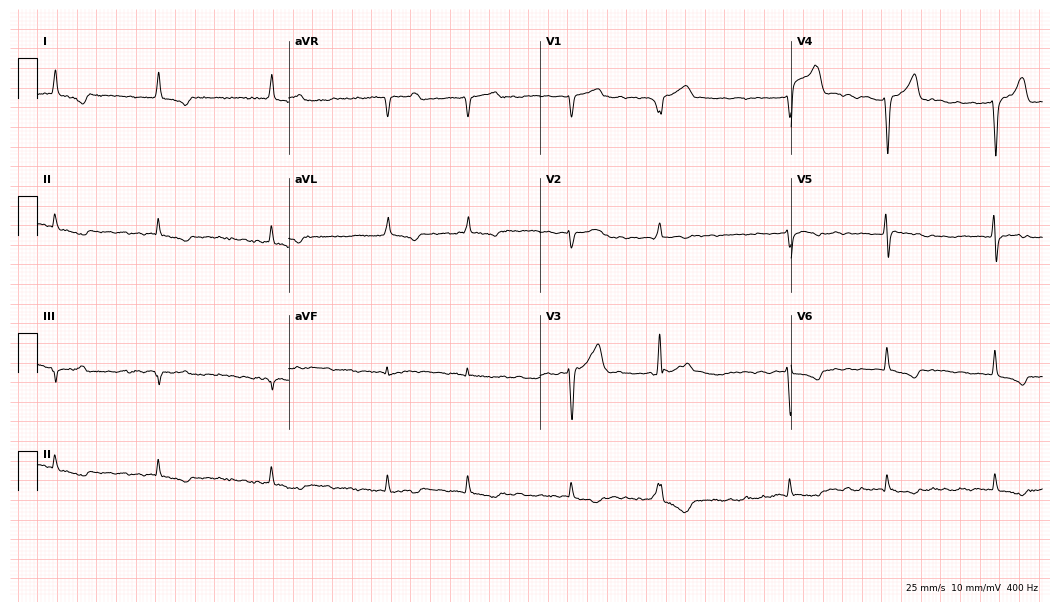
12-lead ECG from a man, 66 years old. Shows atrial fibrillation.